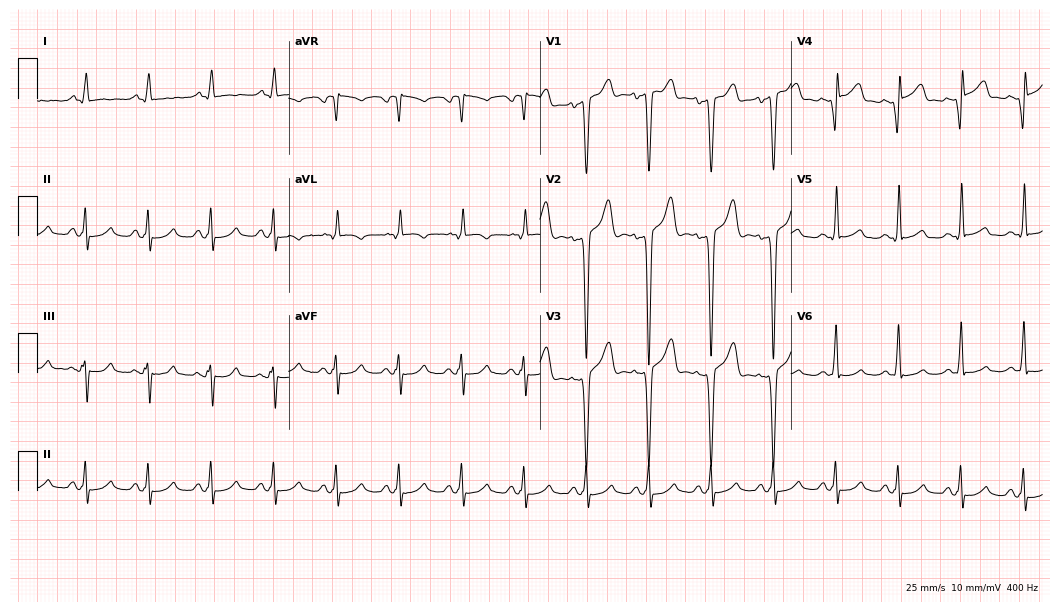
Standard 12-lead ECG recorded from a 55-year-old male patient (10.2-second recording at 400 Hz). None of these six findings is recorded: first-degree AV block, right bundle branch block, left bundle branch block, sinus bradycardia, atrial fibrillation, sinus tachycardia.